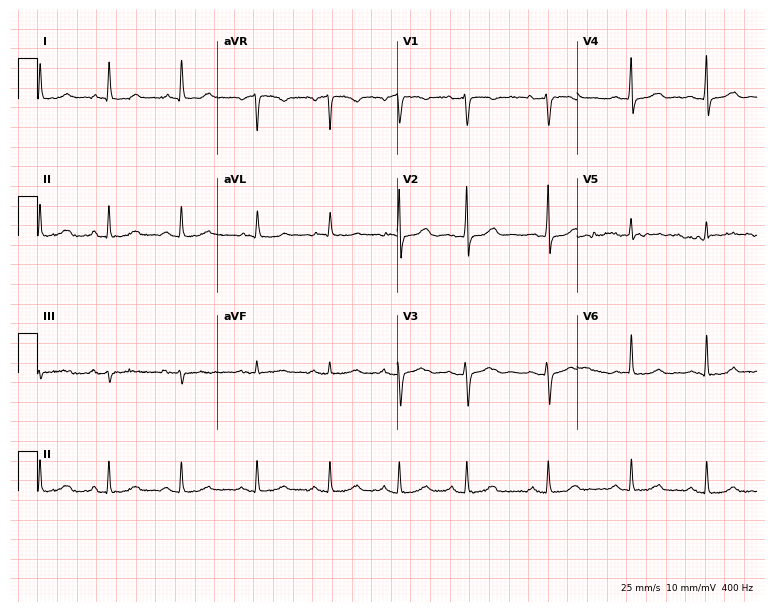
Standard 12-lead ECG recorded from a 37-year-old woman (7.3-second recording at 400 Hz). None of these six findings is recorded: first-degree AV block, right bundle branch block, left bundle branch block, sinus bradycardia, atrial fibrillation, sinus tachycardia.